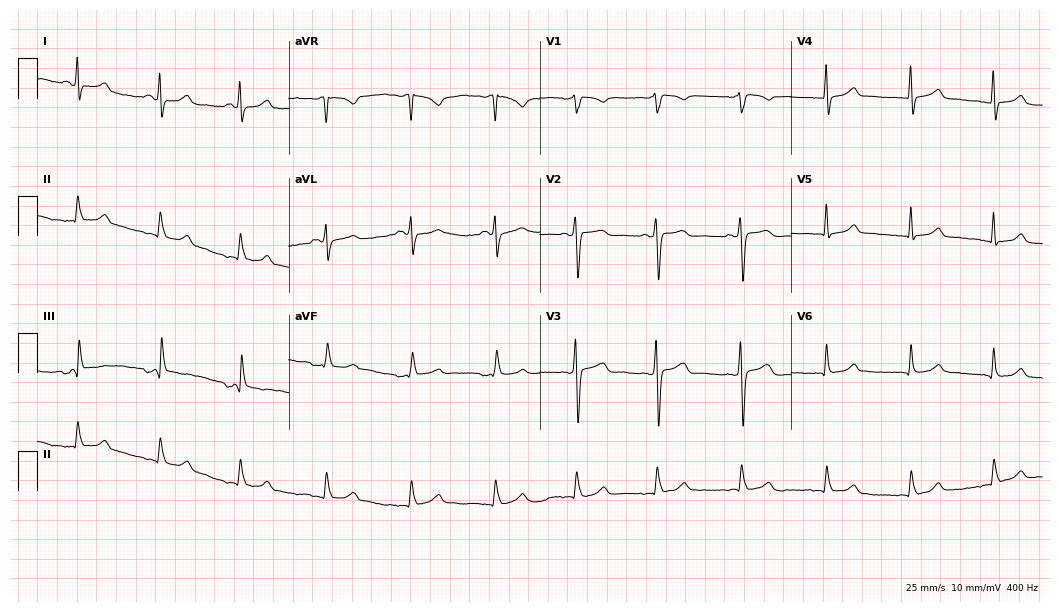
ECG — a 49-year-old female. Labelled as a normal ECG.